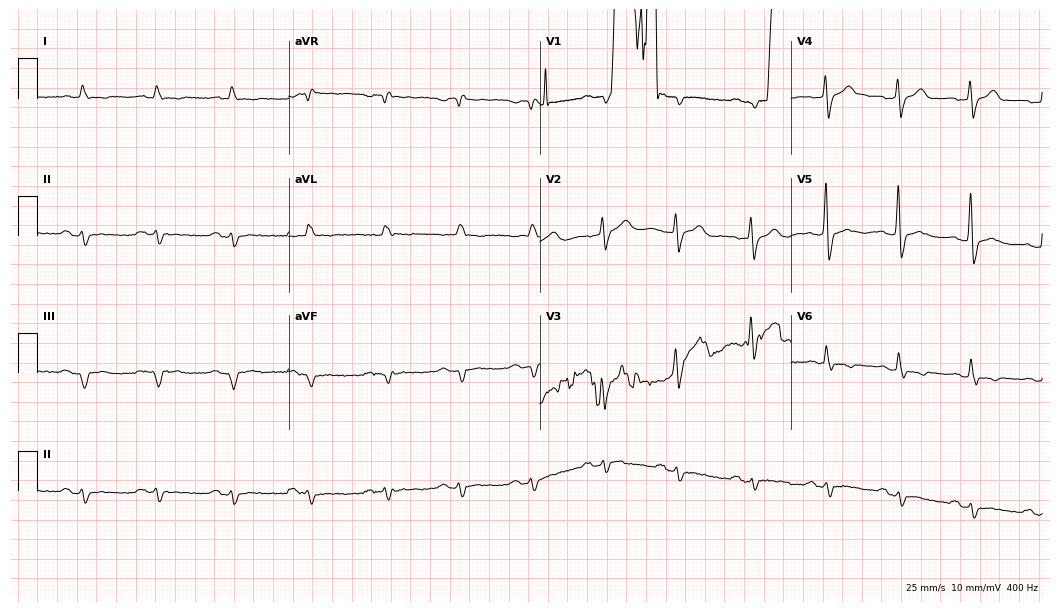
12-lead ECG from an 82-year-old woman. No first-degree AV block, right bundle branch block, left bundle branch block, sinus bradycardia, atrial fibrillation or sinus tachycardia recorded for this tracing. Findings outside these six are not listed.